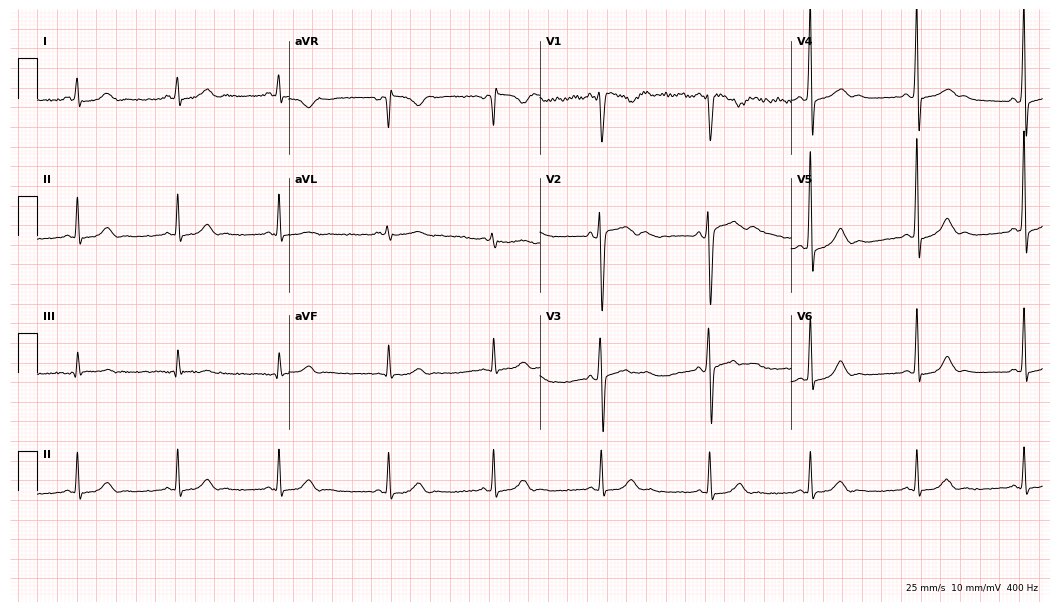
12-lead ECG from a man, 32 years old. Screened for six findings — first-degree AV block, right bundle branch block (RBBB), left bundle branch block (LBBB), sinus bradycardia, atrial fibrillation (AF), sinus tachycardia — none is recorded.